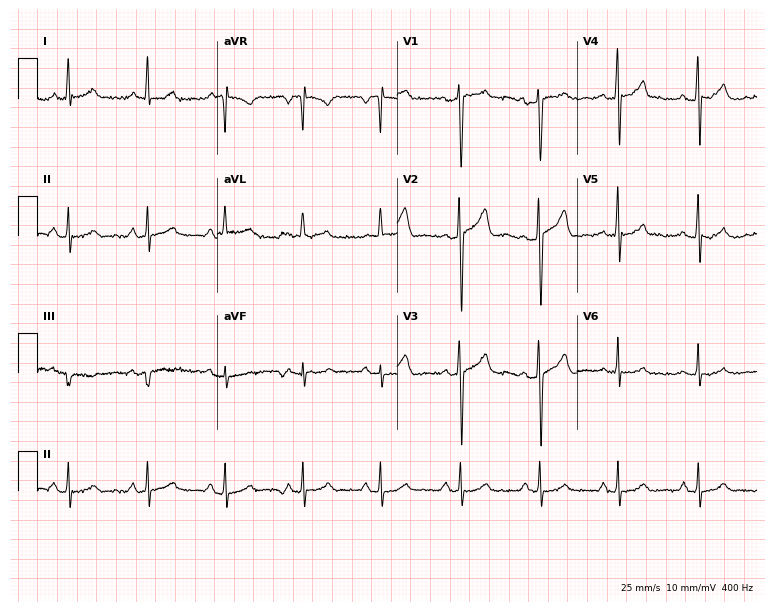
12-lead ECG from a male, 59 years old (7.3-second recording at 400 Hz). No first-degree AV block, right bundle branch block, left bundle branch block, sinus bradycardia, atrial fibrillation or sinus tachycardia recorded for this tracing.